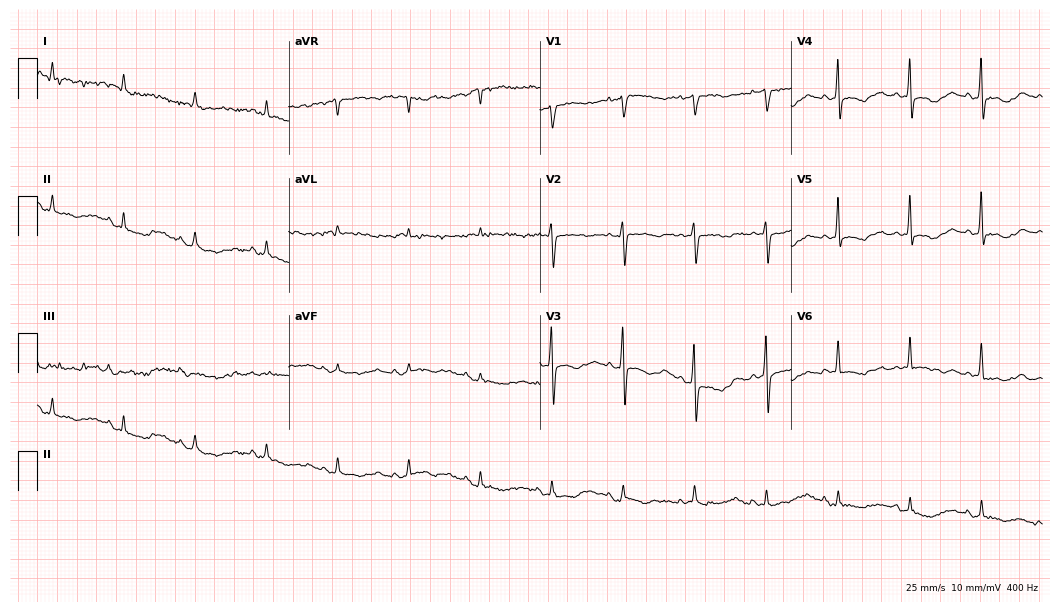
Electrocardiogram, a female, 85 years old. Of the six screened findings (first-degree AV block, right bundle branch block, left bundle branch block, sinus bradycardia, atrial fibrillation, sinus tachycardia), none is recorded. Findings outside these six are not listed.